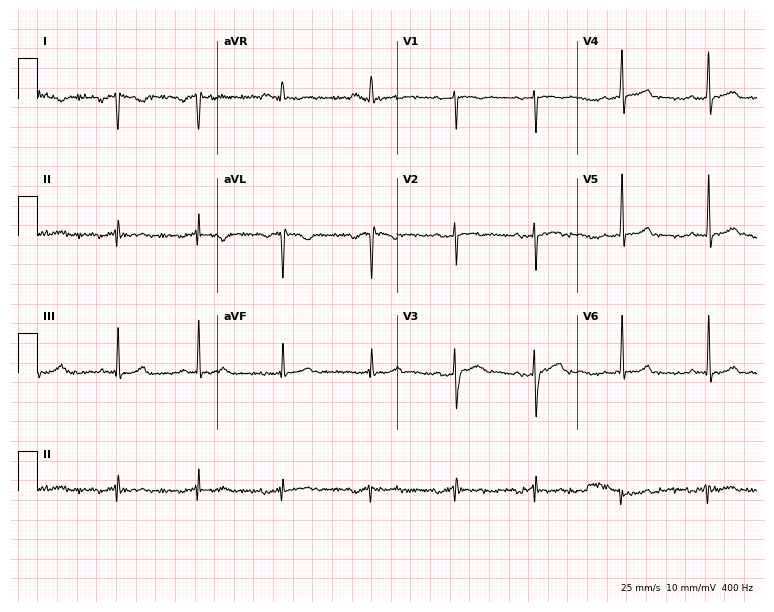
Standard 12-lead ECG recorded from a female patient, 27 years old (7.3-second recording at 400 Hz). None of these six findings is recorded: first-degree AV block, right bundle branch block, left bundle branch block, sinus bradycardia, atrial fibrillation, sinus tachycardia.